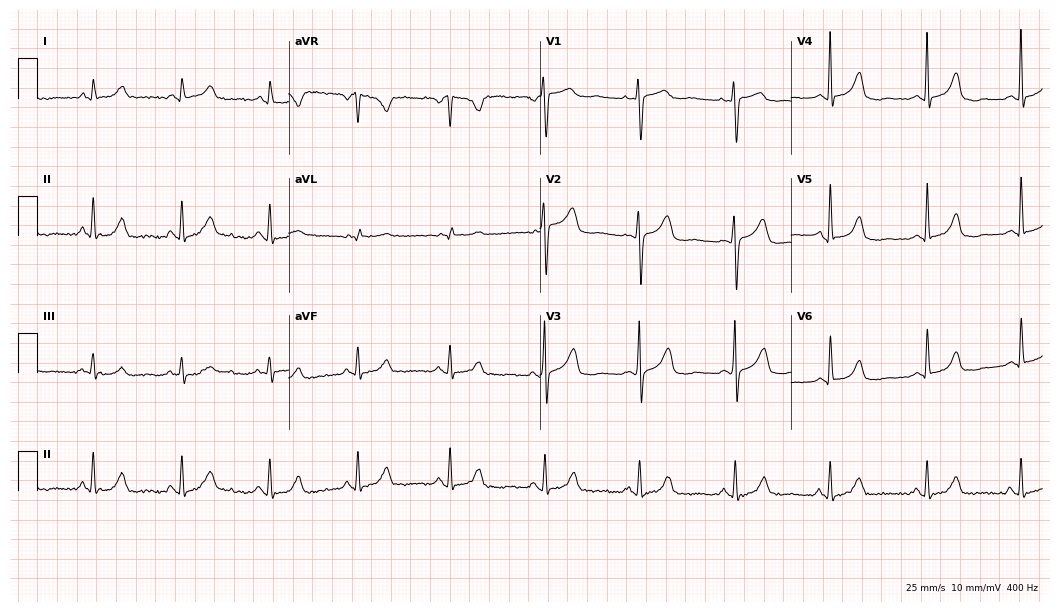
12-lead ECG from a female patient, 73 years old (10.2-second recording at 400 Hz). No first-degree AV block, right bundle branch block (RBBB), left bundle branch block (LBBB), sinus bradycardia, atrial fibrillation (AF) or sinus tachycardia recorded for this tracing. Only these six findings were labelled.